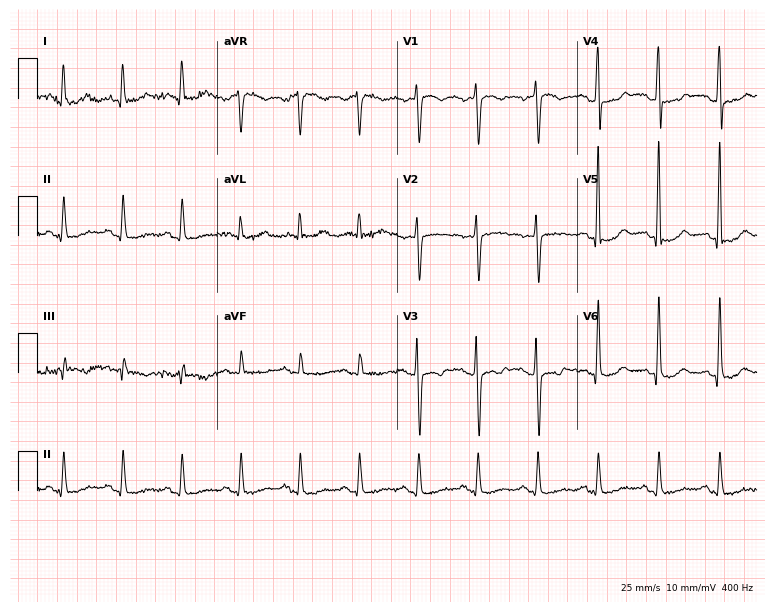
12-lead ECG from a 61-year-old male. No first-degree AV block, right bundle branch block (RBBB), left bundle branch block (LBBB), sinus bradycardia, atrial fibrillation (AF) or sinus tachycardia recorded for this tracing.